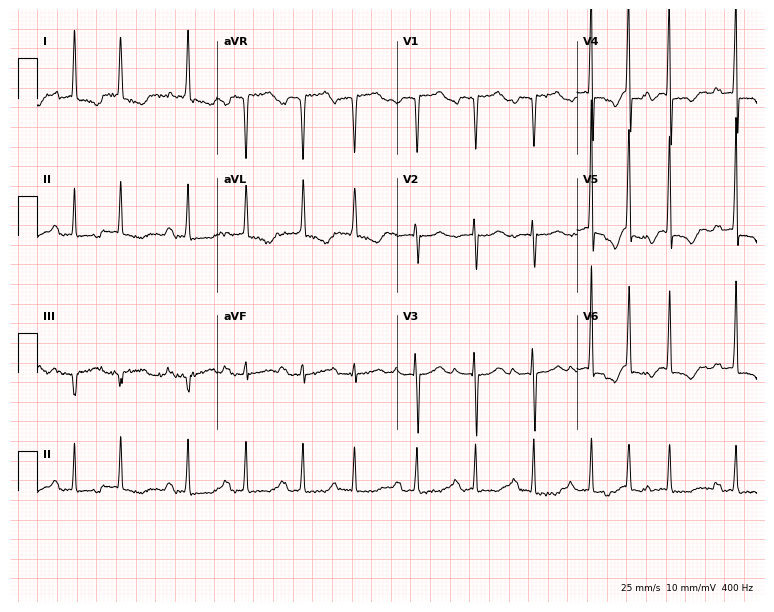
Standard 12-lead ECG recorded from a woman, 79 years old. The tracing shows sinus tachycardia (a sinus rate of 100 beats per minute or more).